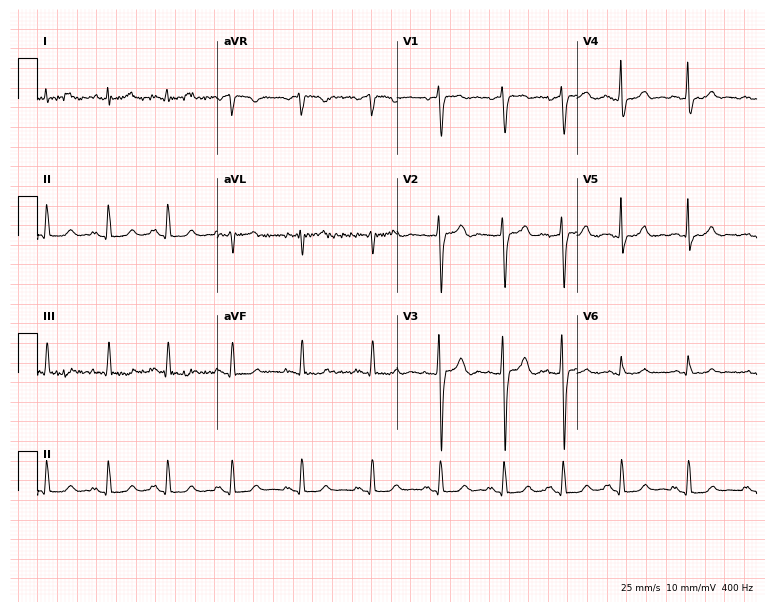
12-lead ECG (7.3-second recording at 400 Hz) from a woman, 26 years old. Screened for six findings — first-degree AV block, right bundle branch block, left bundle branch block, sinus bradycardia, atrial fibrillation, sinus tachycardia — none is recorded. Findings outside these six are not listed.